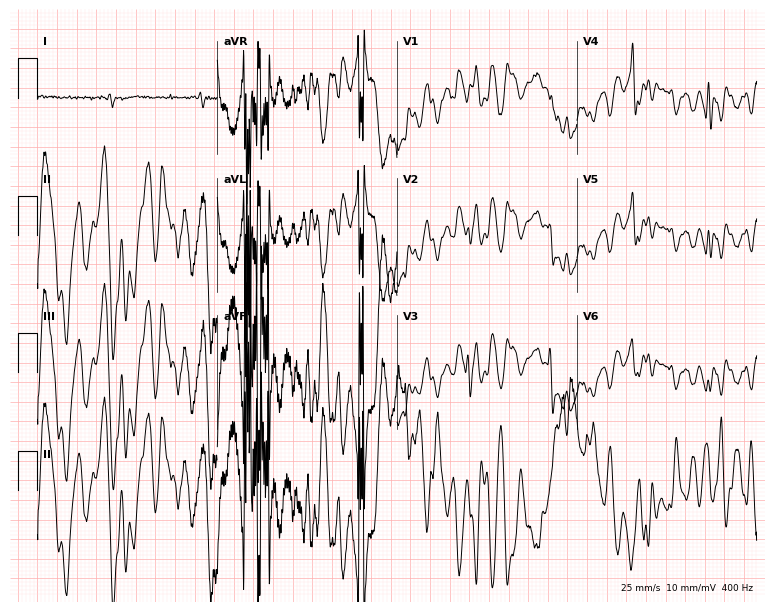
Resting 12-lead electrocardiogram. Patient: an 83-year-old man. None of these six findings is recorded: first-degree AV block, right bundle branch block, left bundle branch block, sinus bradycardia, atrial fibrillation, sinus tachycardia. Other findings, if any, are not listed.